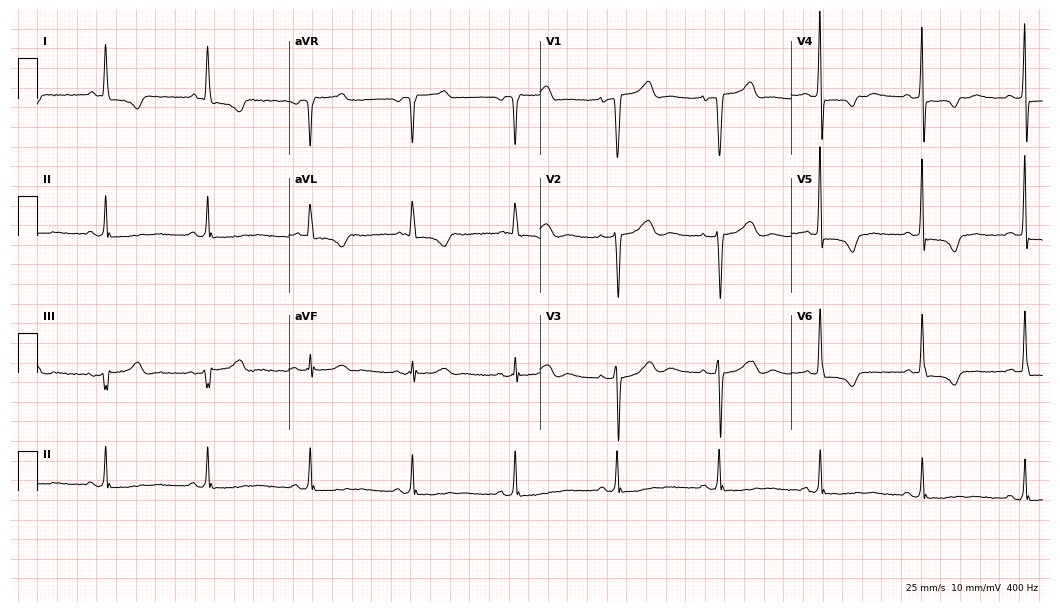
12-lead ECG from a 75-year-old female. Screened for six findings — first-degree AV block, right bundle branch block (RBBB), left bundle branch block (LBBB), sinus bradycardia, atrial fibrillation (AF), sinus tachycardia — none is recorded.